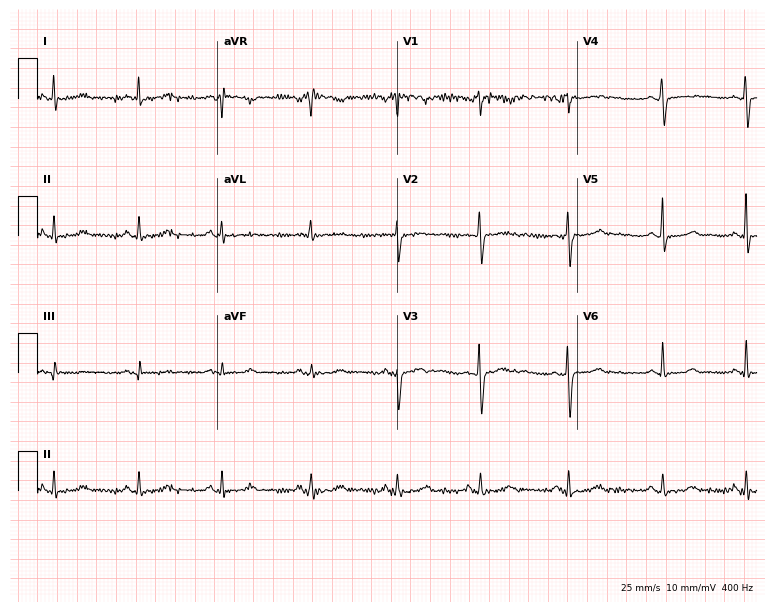
12-lead ECG (7.3-second recording at 400 Hz) from a male patient, 35 years old. Screened for six findings — first-degree AV block, right bundle branch block, left bundle branch block, sinus bradycardia, atrial fibrillation, sinus tachycardia — none is recorded. Findings outside these six are not listed.